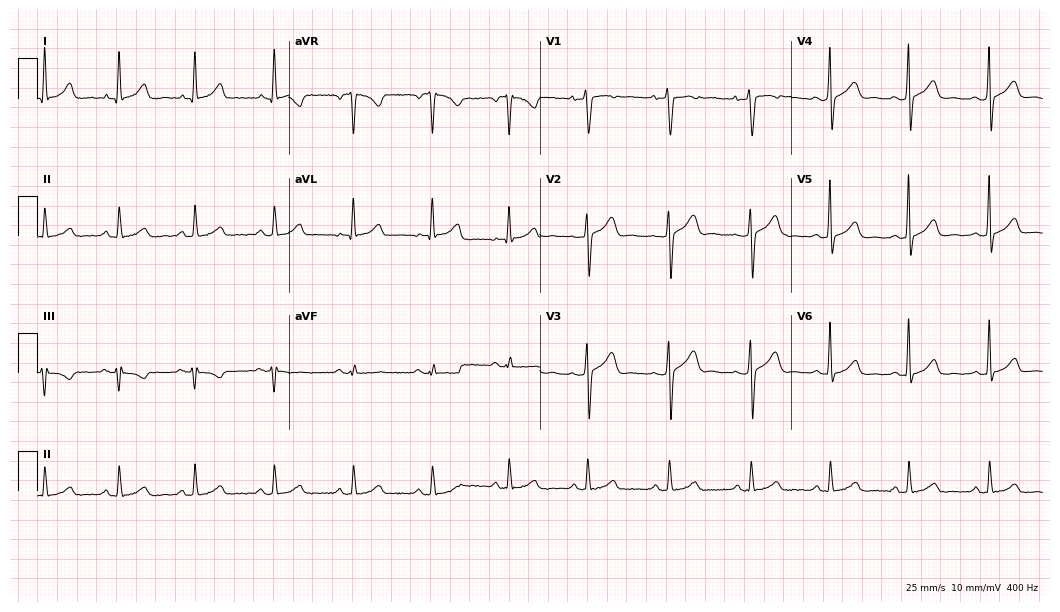
Standard 12-lead ECG recorded from a woman, 22 years old. Read as a normal ECG.